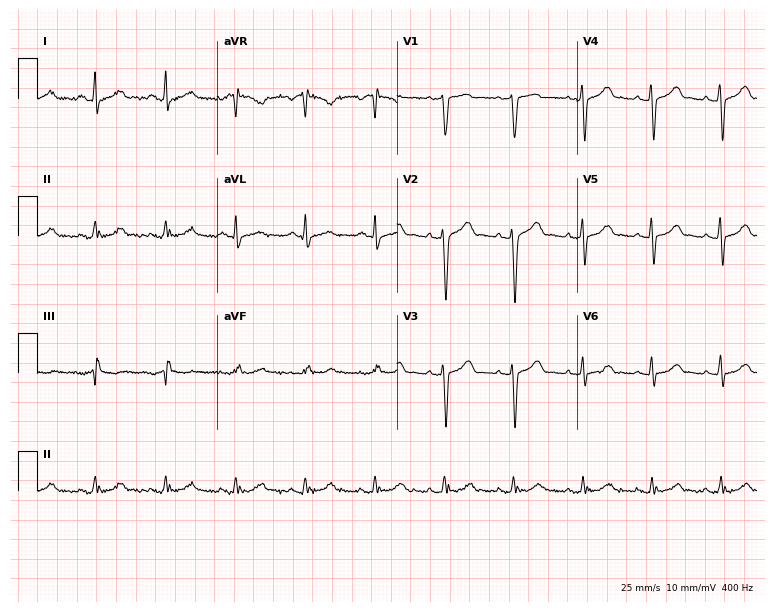
Standard 12-lead ECG recorded from a female, 55 years old. Read as a normal ECG.